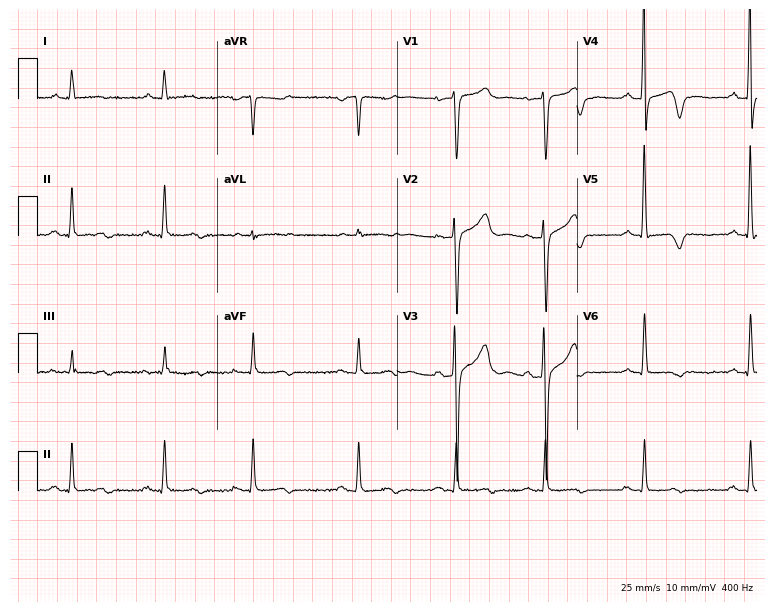
12-lead ECG from a male patient, 60 years old (7.3-second recording at 400 Hz). Recorded interpretation: within normal limits.